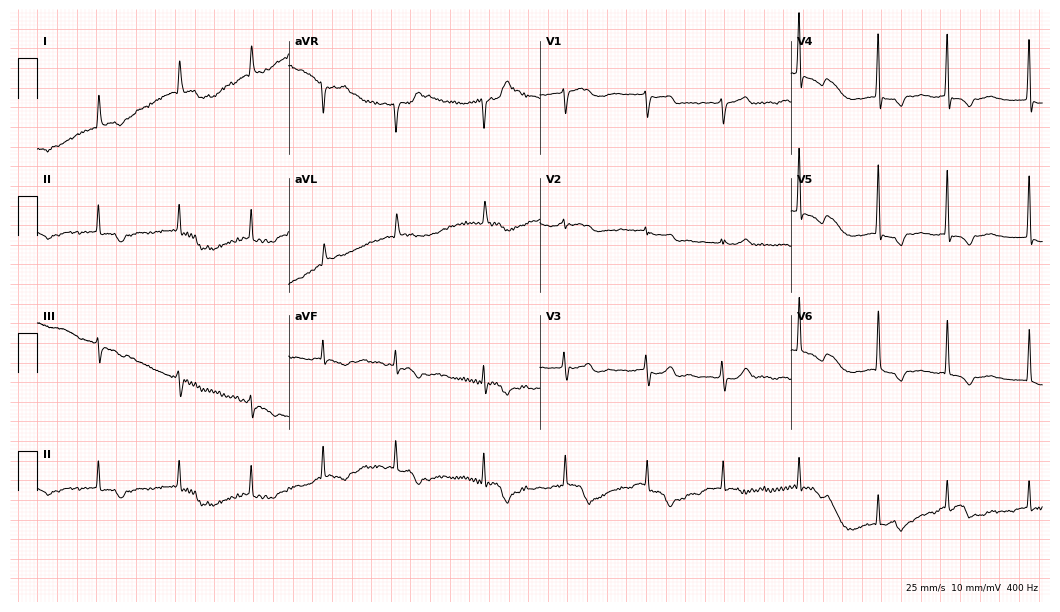
12-lead ECG from an 82-year-old female patient. Screened for six findings — first-degree AV block, right bundle branch block, left bundle branch block, sinus bradycardia, atrial fibrillation, sinus tachycardia — none is recorded. Findings outside these six are not listed.